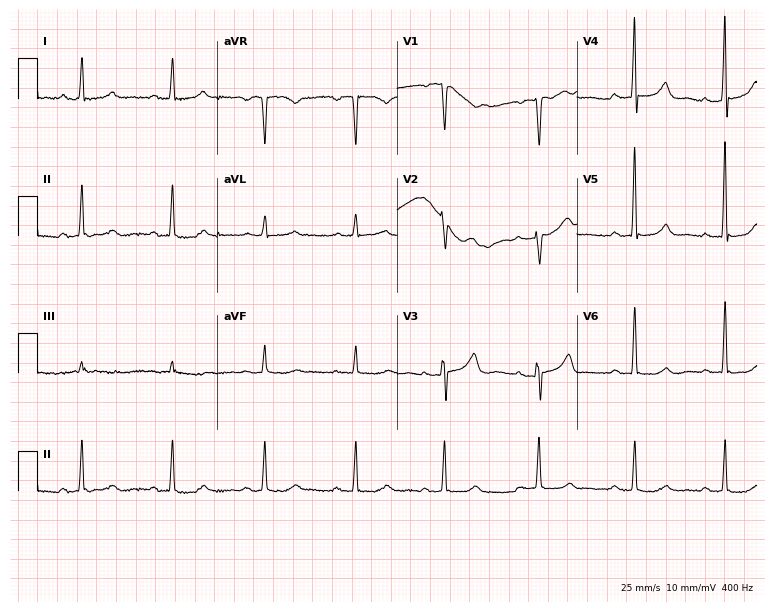
12-lead ECG (7.3-second recording at 400 Hz) from a 72-year-old female. Labelled as a normal ECG.